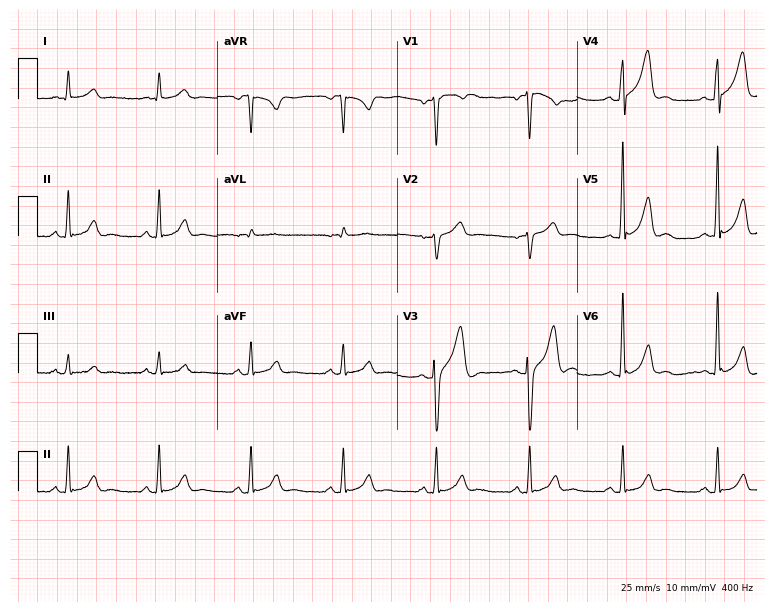
12-lead ECG from a male patient, 51 years old. Labelled as a normal ECG.